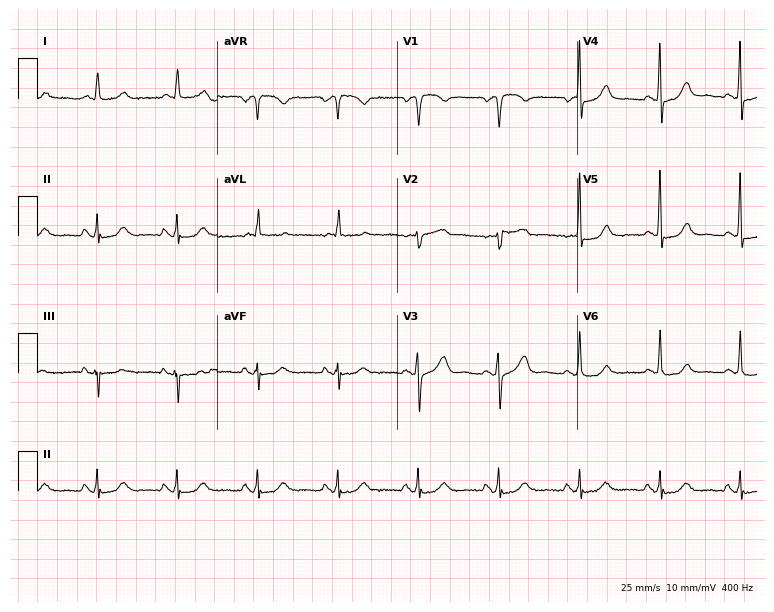
Standard 12-lead ECG recorded from a 72-year-old female (7.3-second recording at 400 Hz). Read as a normal ECG.